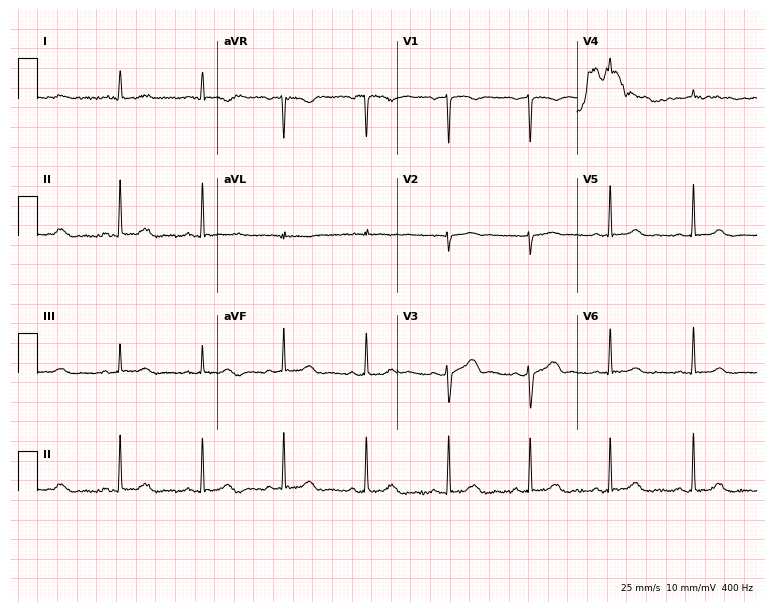
12-lead ECG from a female, 58 years old. Labelled as a normal ECG.